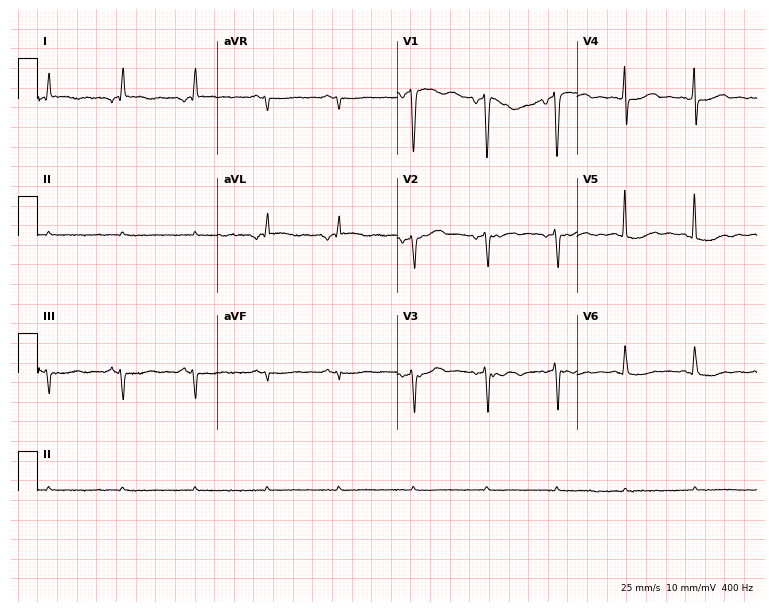
Standard 12-lead ECG recorded from a 69-year-old female. None of these six findings is recorded: first-degree AV block, right bundle branch block (RBBB), left bundle branch block (LBBB), sinus bradycardia, atrial fibrillation (AF), sinus tachycardia.